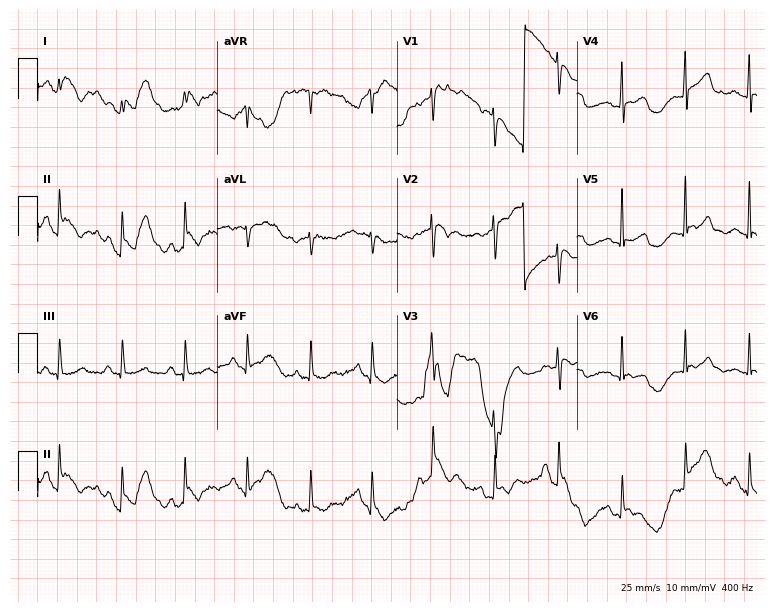
12-lead ECG from a 58-year-old female. No first-degree AV block, right bundle branch block, left bundle branch block, sinus bradycardia, atrial fibrillation or sinus tachycardia recorded for this tracing. Only these six findings were labelled.